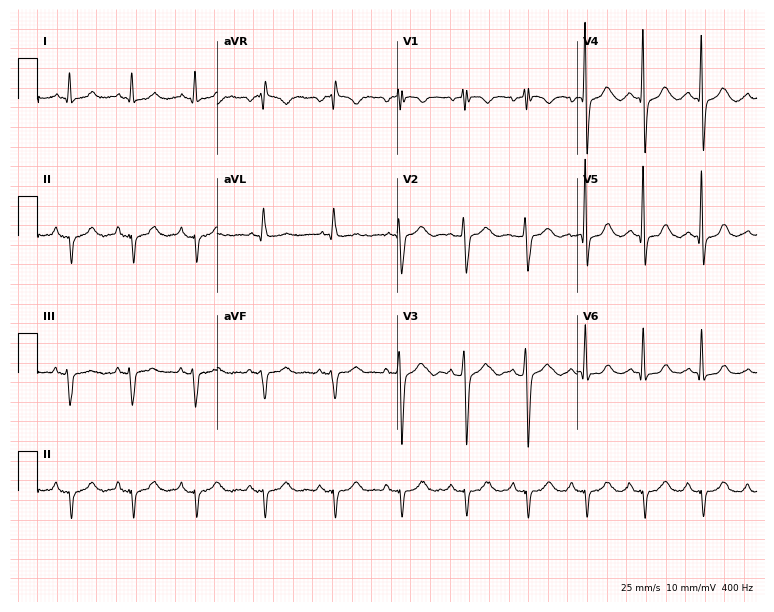
12-lead ECG (7.3-second recording at 400 Hz) from a male, 70 years old. Screened for six findings — first-degree AV block, right bundle branch block, left bundle branch block, sinus bradycardia, atrial fibrillation, sinus tachycardia — none is recorded.